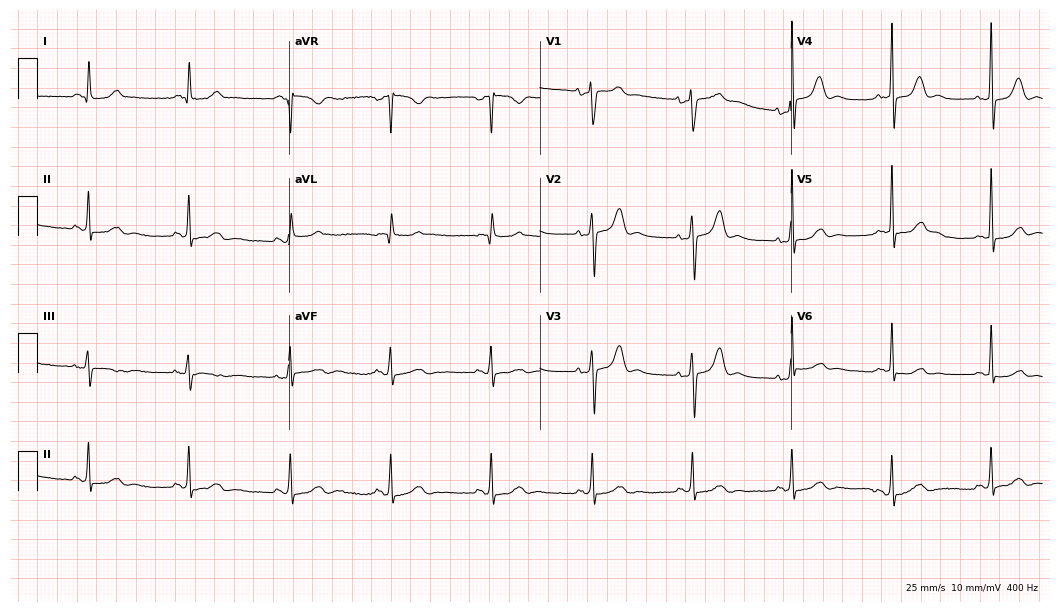
Electrocardiogram (10.2-second recording at 400 Hz), a female patient, 80 years old. Of the six screened findings (first-degree AV block, right bundle branch block, left bundle branch block, sinus bradycardia, atrial fibrillation, sinus tachycardia), none is recorded.